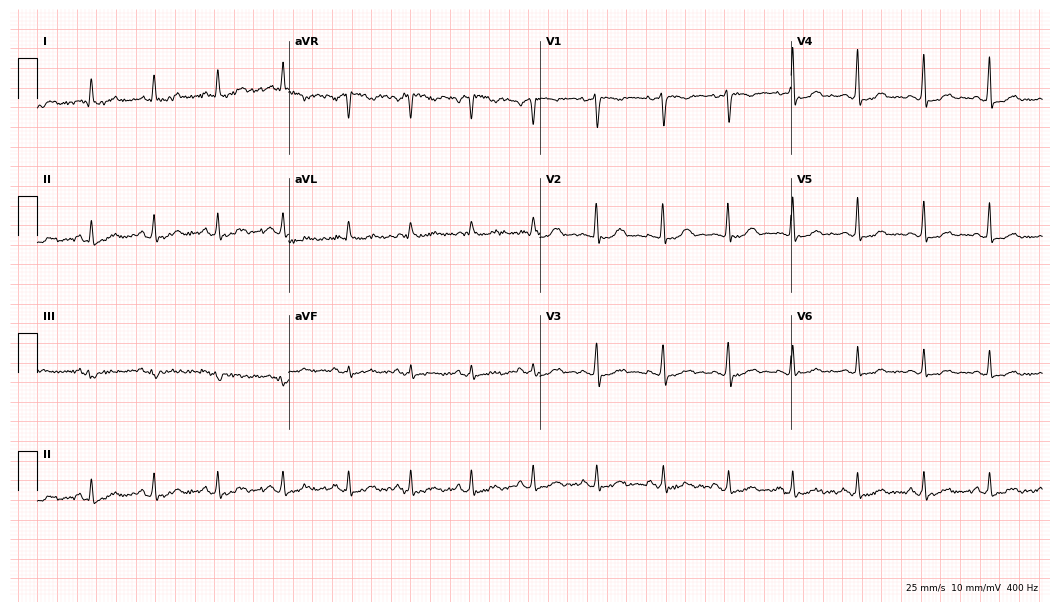
Resting 12-lead electrocardiogram. Patient: a woman, 26 years old. None of these six findings is recorded: first-degree AV block, right bundle branch block, left bundle branch block, sinus bradycardia, atrial fibrillation, sinus tachycardia. Findings outside these six are not listed.